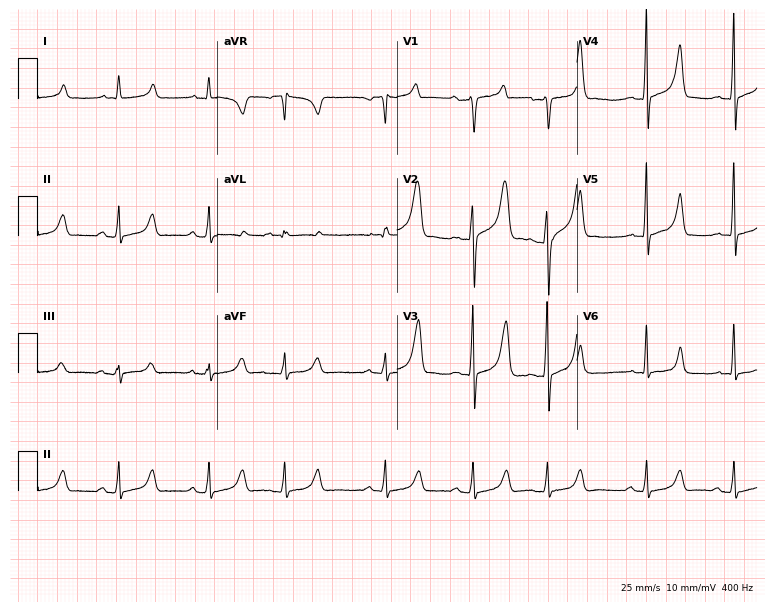
Resting 12-lead electrocardiogram (7.3-second recording at 400 Hz). Patient: a man, 21 years old. None of these six findings is recorded: first-degree AV block, right bundle branch block, left bundle branch block, sinus bradycardia, atrial fibrillation, sinus tachycardia. Findings outside these six are not listed.